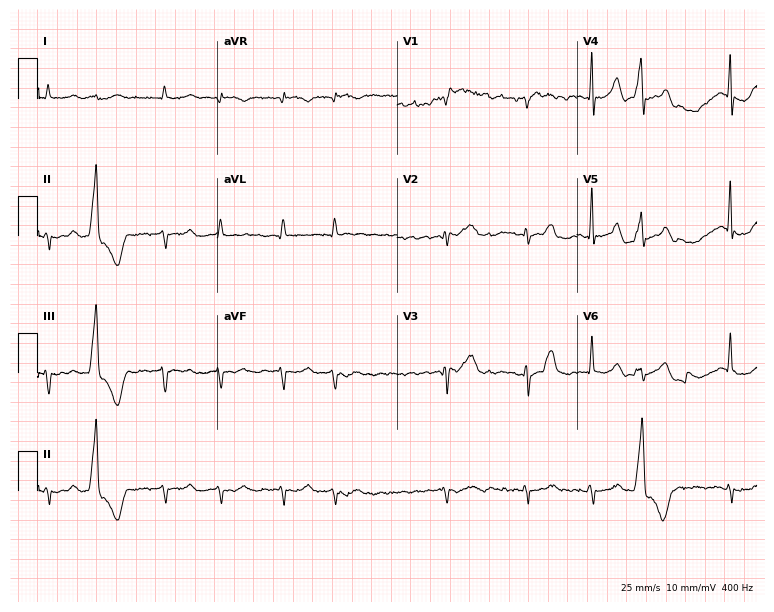
Electrocardiogram (7.3-second recording at 400 Hz), a 71-year-old man. Interpretation includes atrial fibrillation.